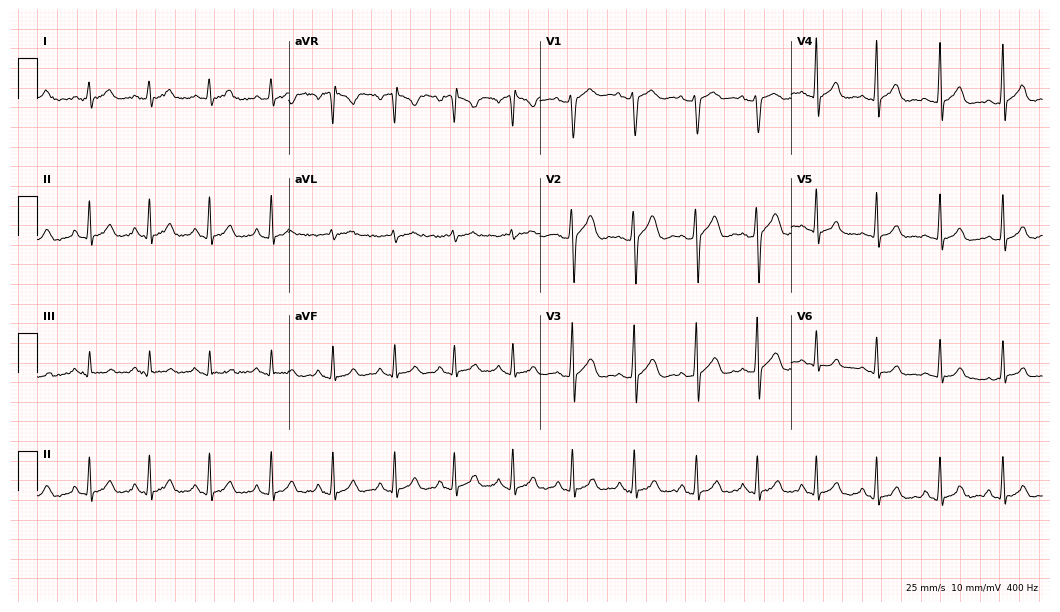
12-lead ECG (10.2-second recording at 400 Hz) from a male, 21 years old. Labelled as a normal ECG.